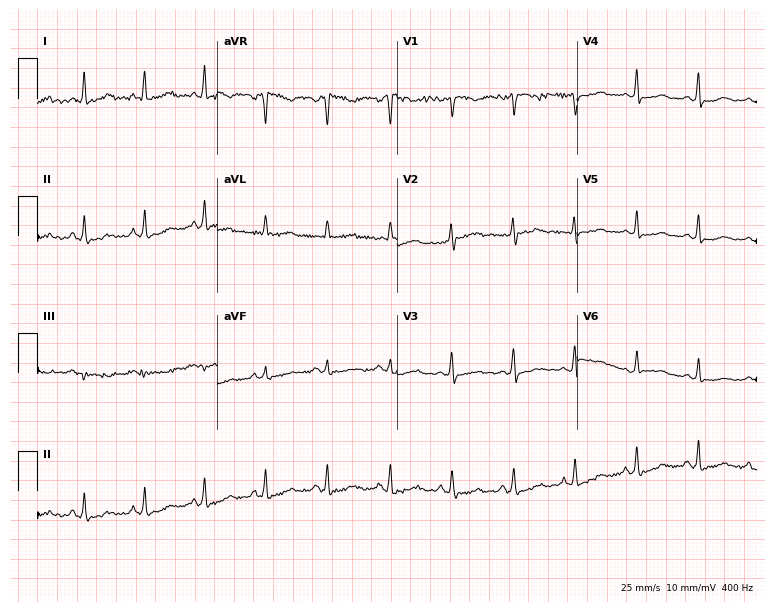
Resting 12-lead electrocardiogram. Patient: a female, 34 years old. None of these six findings is recorded: first-degree AV block, right bundle branch block (RBBB), left bundle branch block (LBBB), sinus bradycardia, atrial fibrillation (AF), sinus tachycardia. Other findings, if any, are not listed.